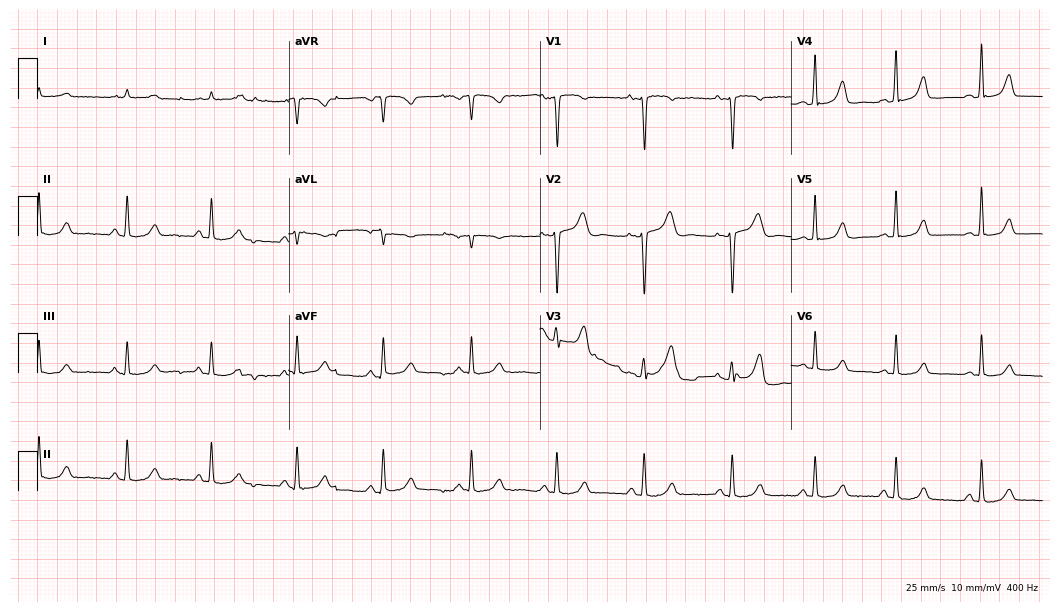
Standard 12-lead ECG recorded from a 48-year-old female (10.2-second recording at 400 Hz). Read as a normal ECG.